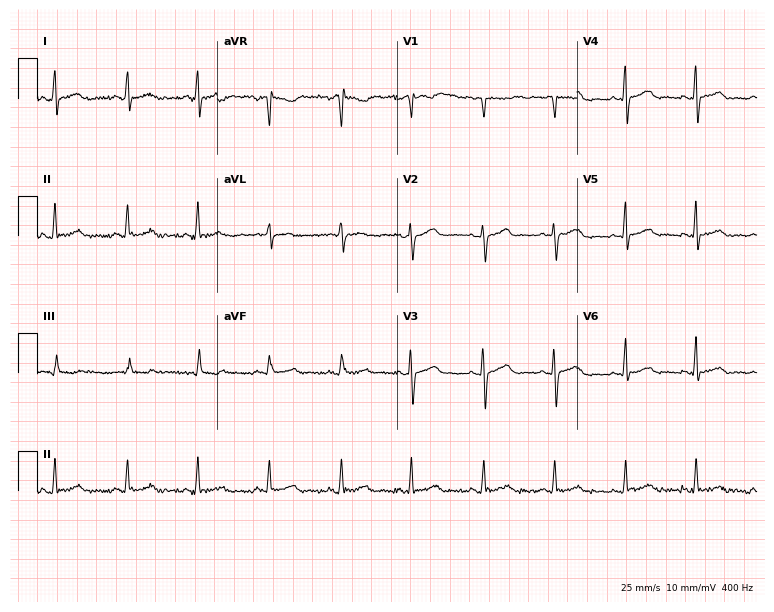
12-lead ECG (7.3-second recording at 400 Hz) from a female patient, 76 years old. Labelled as a normal ECG.